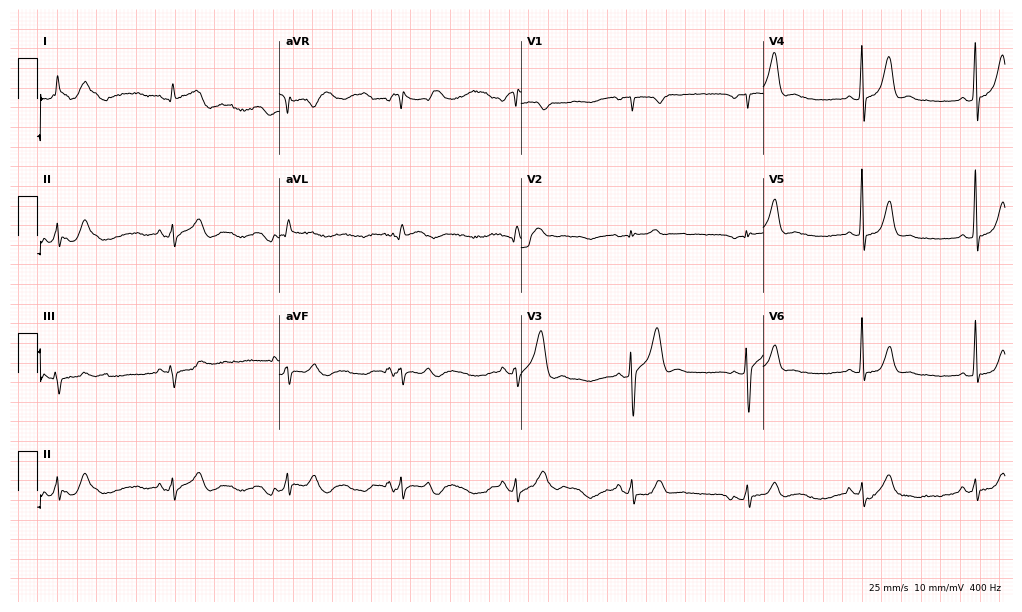
Standard 12-lead ECG recorded from a 54-year-old male (9.9-second recording at 400 Hz). Read as a normal ECG.